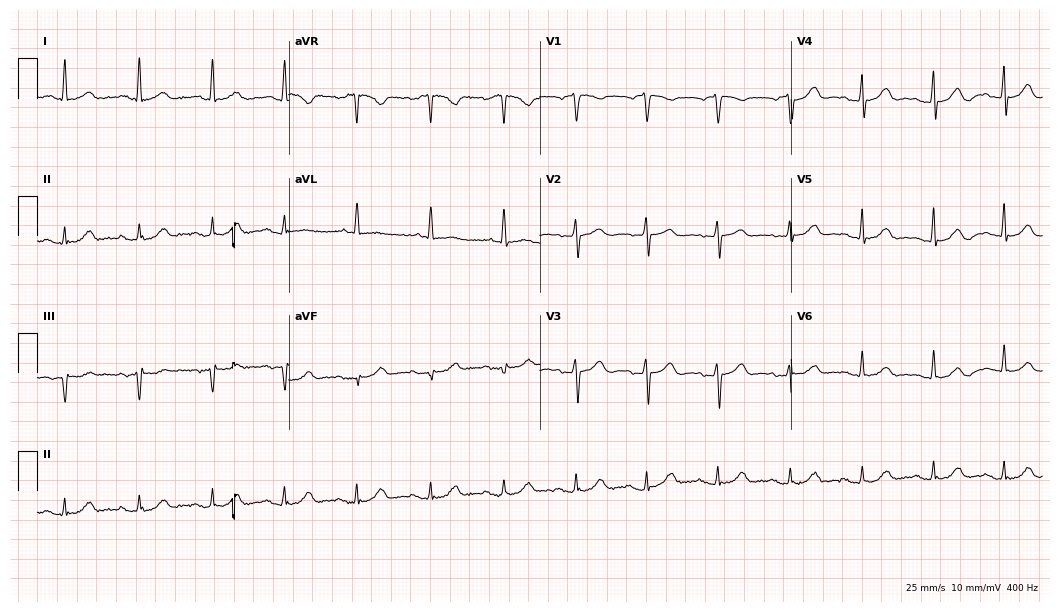
Electrocardiogram, a female, 81 years old. Overall reading on record: normal ECG.